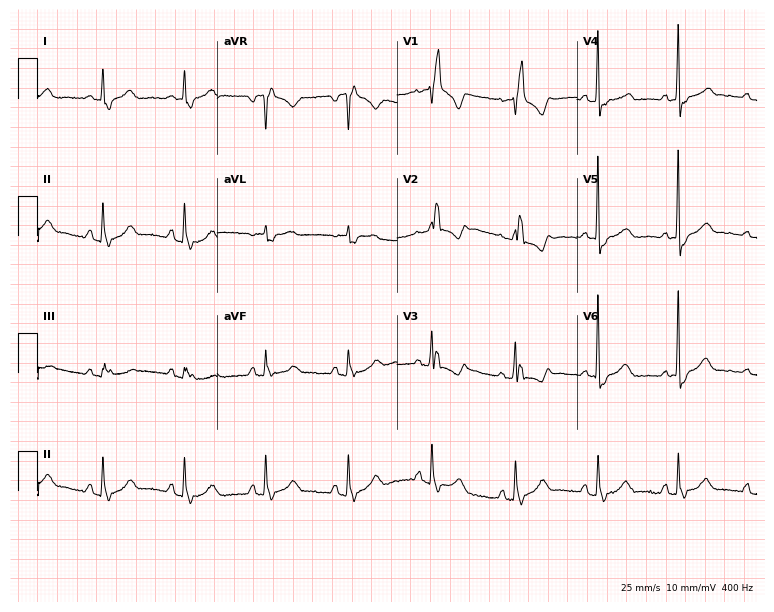
ECG (7.3-second recording at 400 Hz) — a woman, 67 years old. Findings include right bundle branch block.